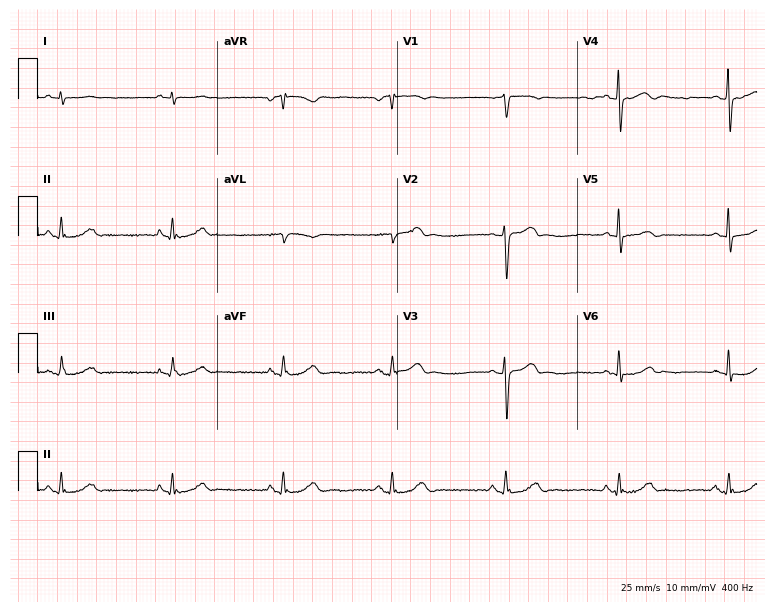
ECG (7.3-second recording at 400 Hz) — a man, 66 years old. Labelled as a normal ECG.